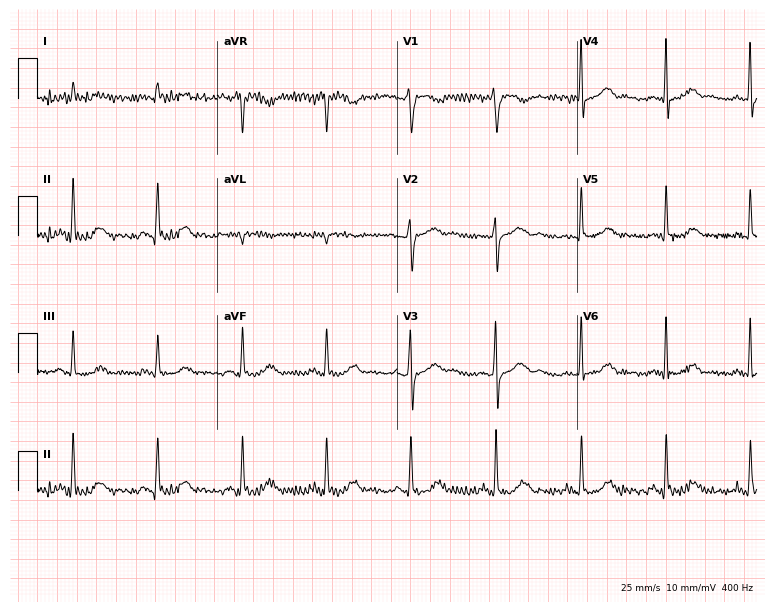
Resting 12-lead electrocardiogram (7.3-second recording at 400 Hz). Patient: a 50-year-old man. Read as a normal ECG.